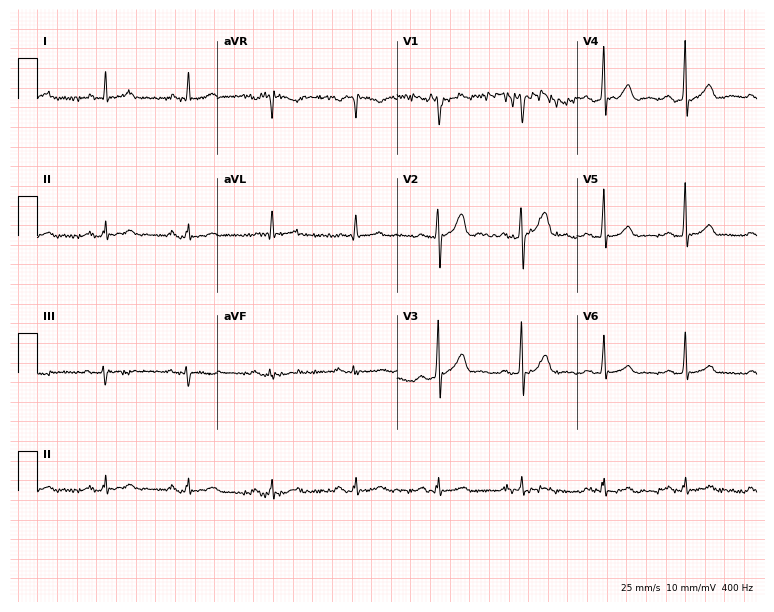
Resting 12-lead electrocardiogram. Patient: a male, 56 years old. None of these six findings is recorded: first-degree AV block, right bundle branch block, left bundle branch block, sinus bradycardia, atrial fibrillation, sinus tachycardia. Other findings, if any, are not listed.